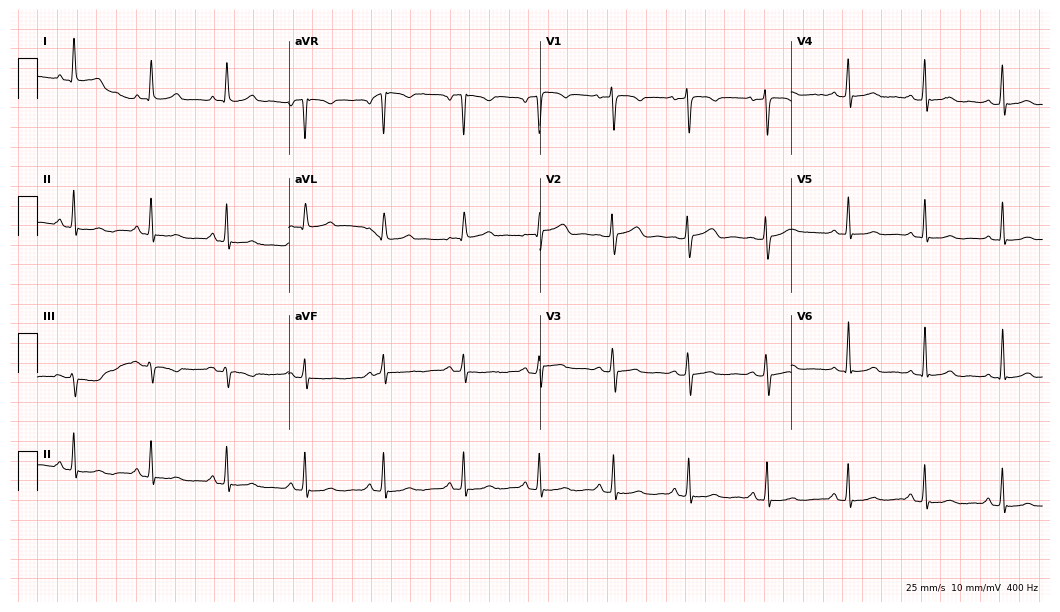
ECG (10.2-second recording at 400 Hz) — a 29-year-old female. Screened for six findings — first-degree AV block, right bundle branch block, left bundle branch block, sinus bradycardia, atrial fibrillation, sinus tachycardia — none is recorded.